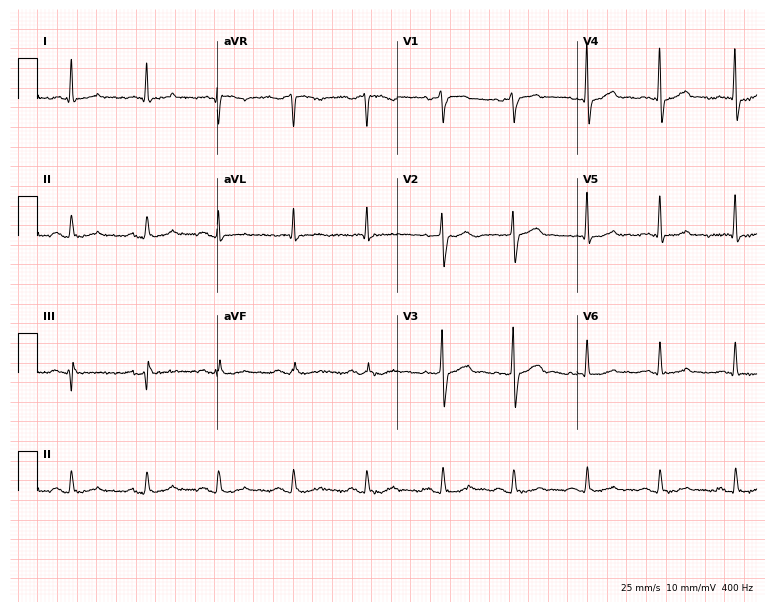
Standard 12-lead ECG recorded from an 81-year-old man. Read as a normal ECG.